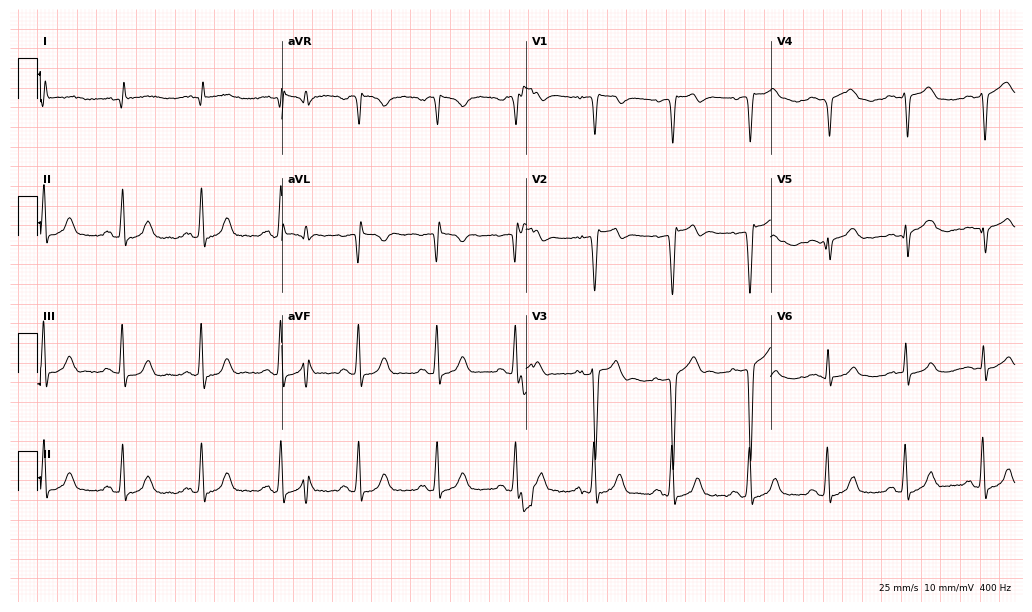
12-lead ECG (10-second recording at 400 Hz) from a man, 79 years old. Screened for six findings — first-degree AV block, right bundle branch block, left bundle branch block, sinus bradycardia, atrial fibrillation, sinus tachycardia — none is recorded.